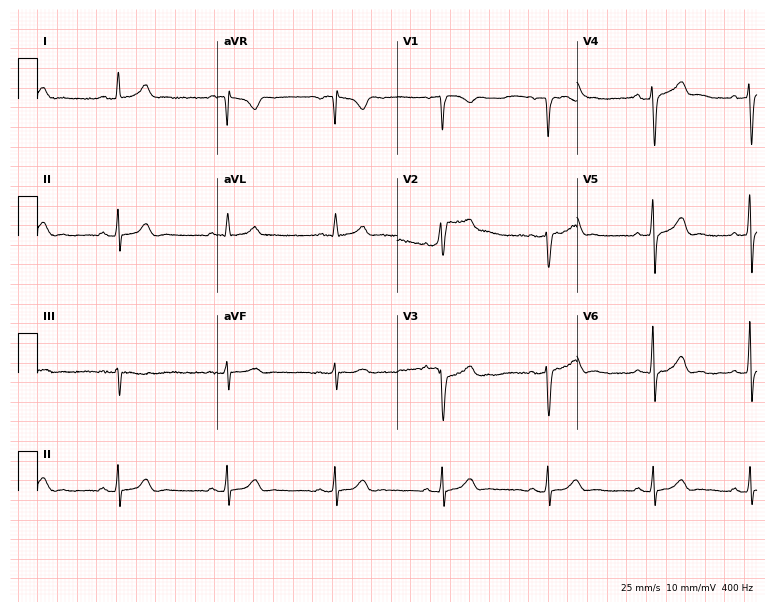
ECG — a 39-year-old male patient. Labelled as a normal ECG.